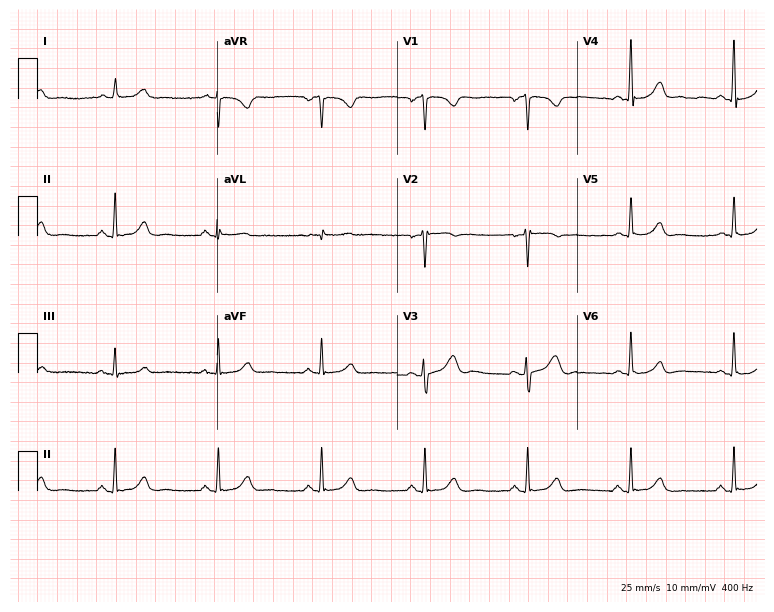
ECG (7.3-second recording at 400 Hz) — a woman, 46 years old. Screened for six findings — first-degree AV block, right bundle branch block (RBBB), left bundle branch block (LBBB), sinus bradycardia, atrial fibrillation (AF), sinus tachycardia — none is recorded. Only these six findings were labelled.